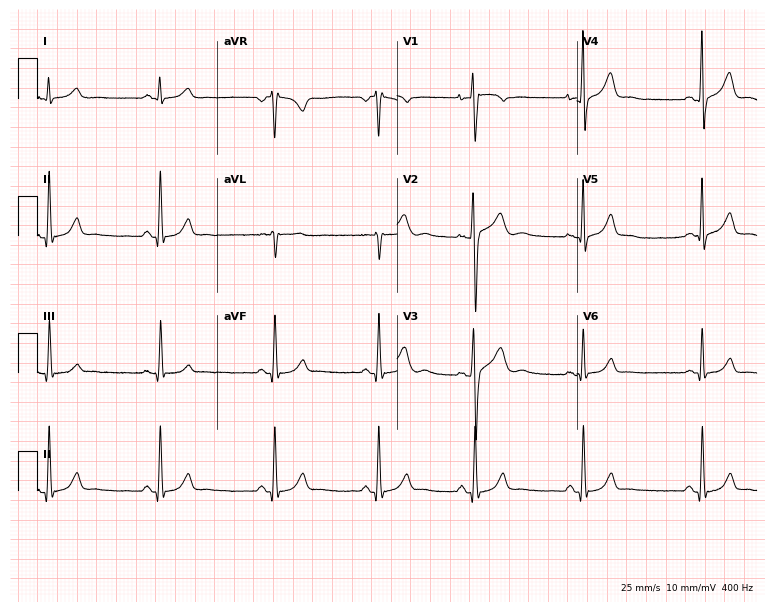
Electrocardiogram, a male, 26 years old. Overall reading on record: normal ECG.